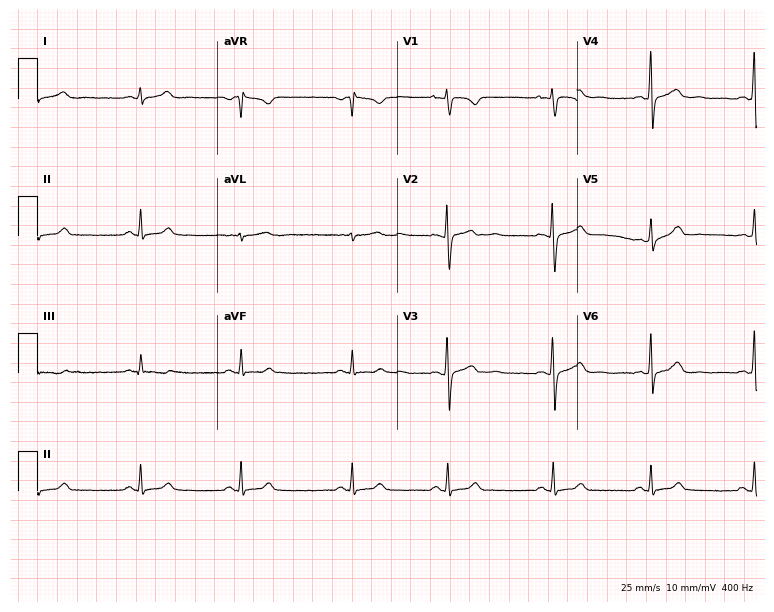
ECG (7.3-second recording at 400 Hz) — a 19-year-old female patient. Labelled as a normal ECG.